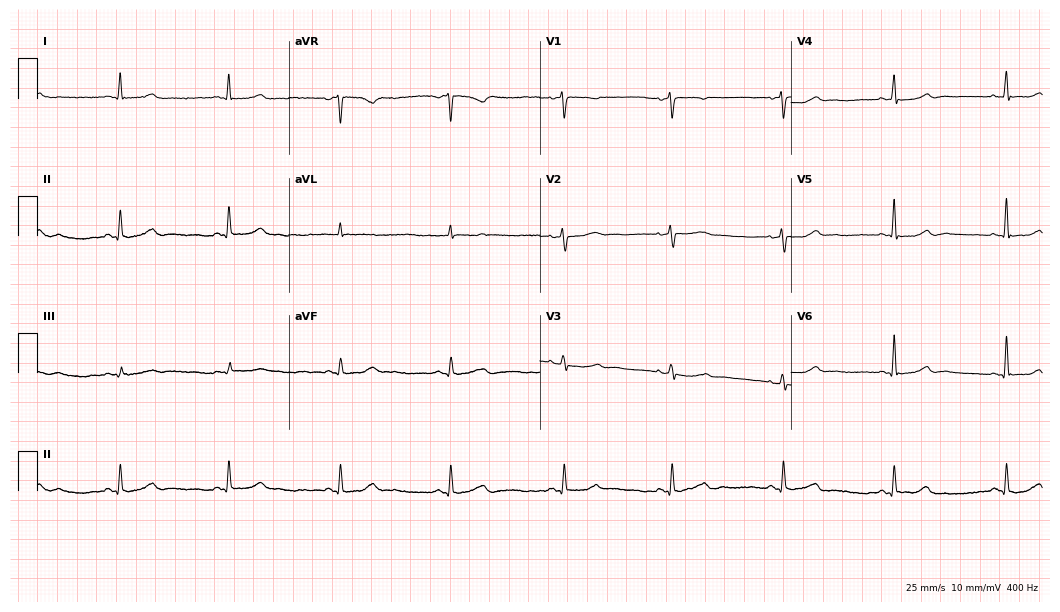
Electrocardiogram, a woman, 65 years old. Overall reading on record: normal ECG.